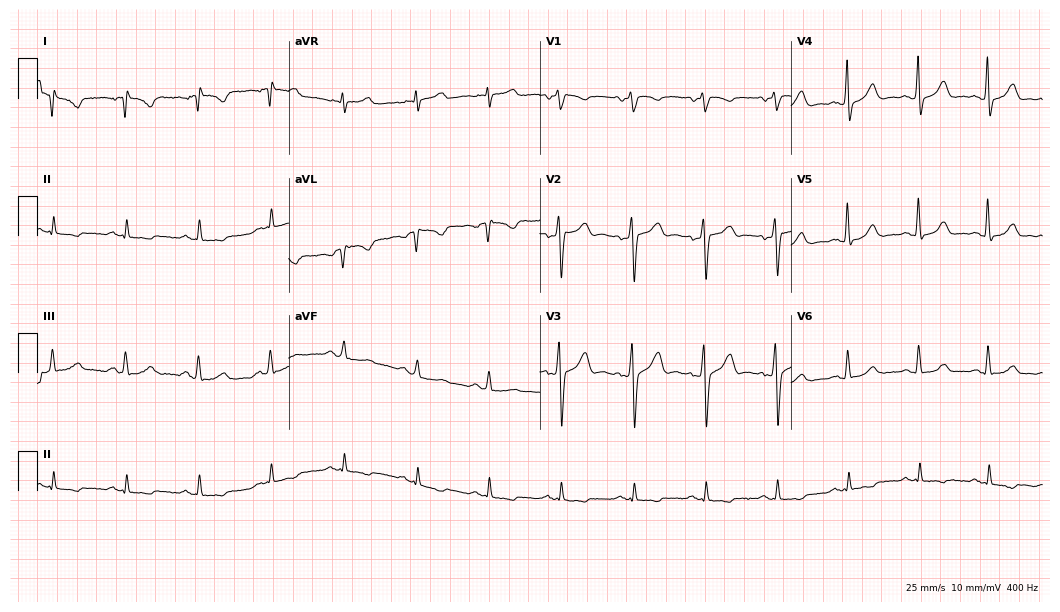
Resting 12-lead electrocardiogram (10.2-second recording at 400 Hz). Patient: a male, 40 years old. None of these six findings is recorded: first-degree AV block, right bundle branch block, left bundle branch block, sinus bradycardia, atrial fibrillation, sinus tachycardia. Only these six findings were labelled.